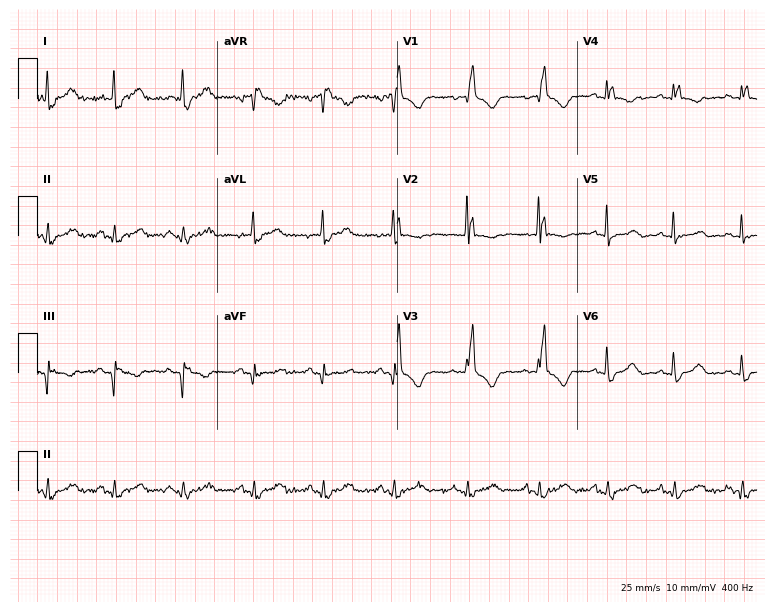
Resting 12-lead electrocardiogram. Patient: a female, 78 years old. The tracing shows right bundle branch block (RBBB).